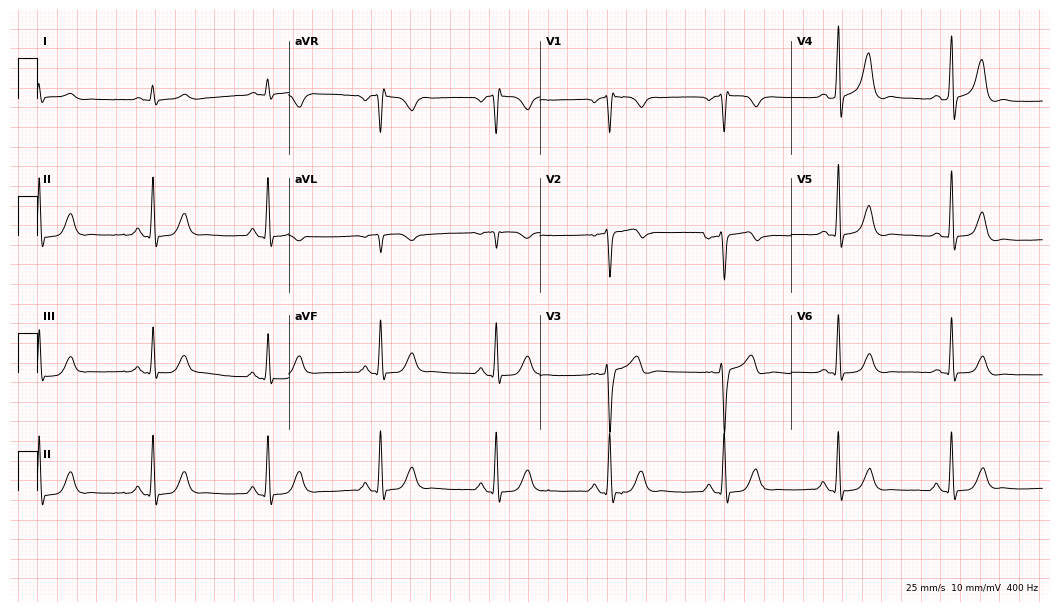
12-lead ECG (10.2-second recording at 400 Hz) from a 62-year-old male. Labelled as a normal ECG.